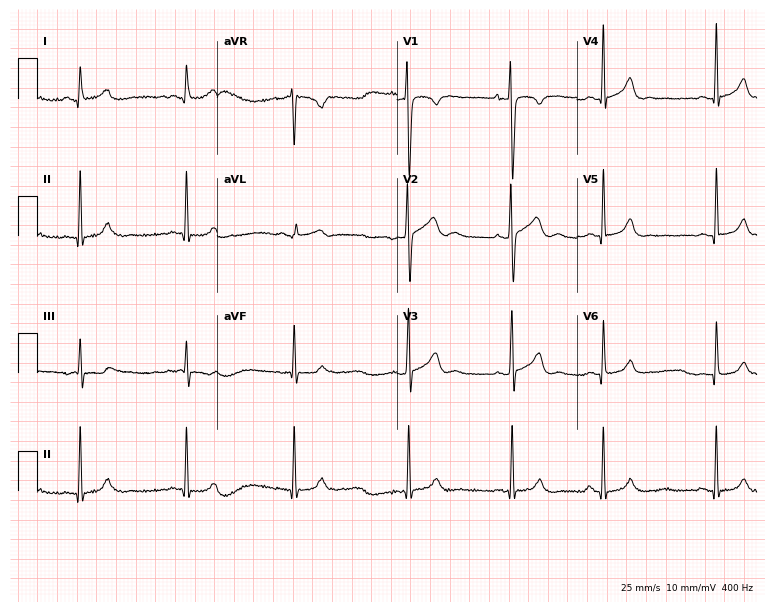
12-lead ECG from a male patient, 19 years old. No first-degree AV block, right bundle branch block, left bundle branch block, sinus bradycardia, atrial fibrillation or sinus tachycardia recorded for this tracing. Other findings, if any, are not listed.